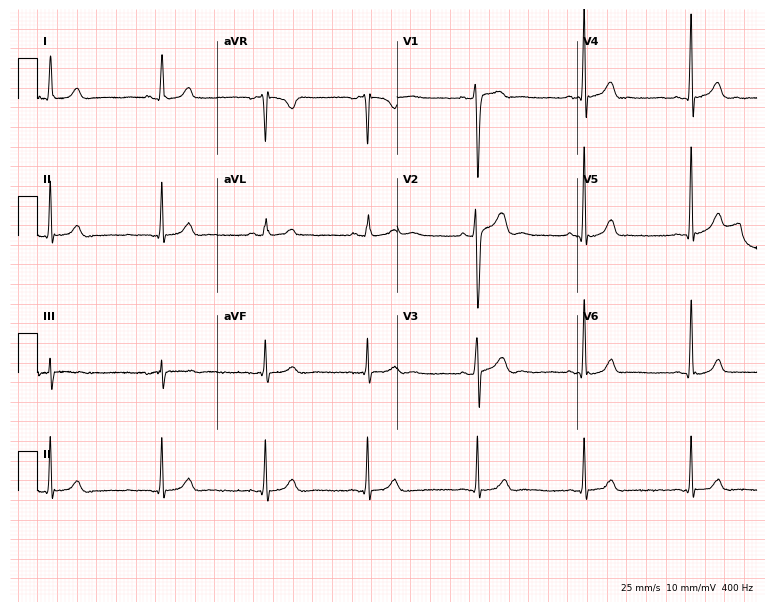
ECG (7.3-second recording at 400 Hz) — a man, 19 years old. Labelled as a normal ECG.